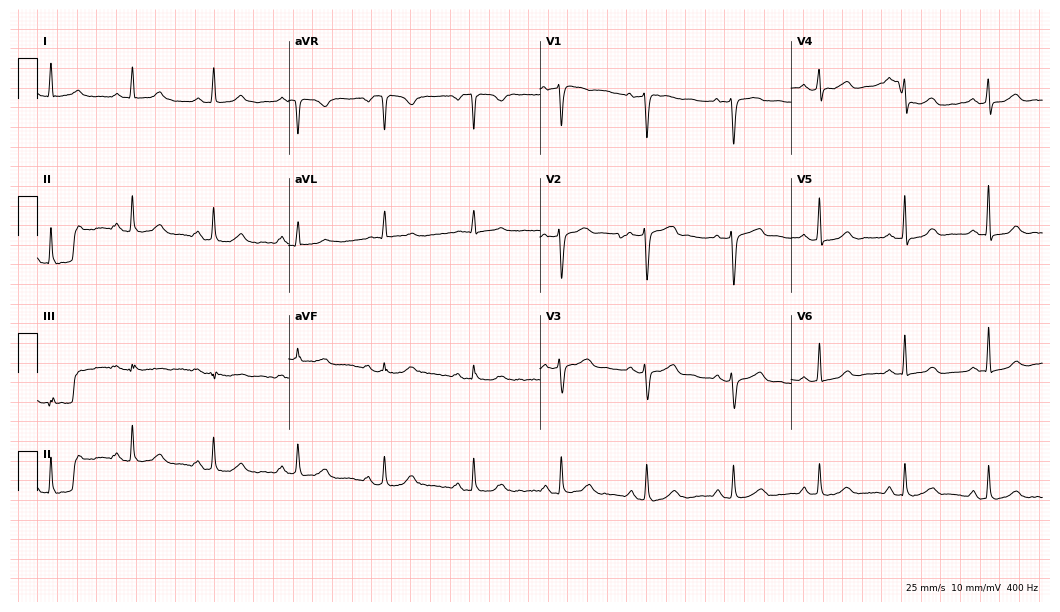
Standard 12-lead ECG recorded from a female, 64 years old. None of these six findings is recorded: first-degree AV block, right bundle branch block, left bundle branch block, sinus bradycardia, atrial fibrillation, sinus tachycardia.